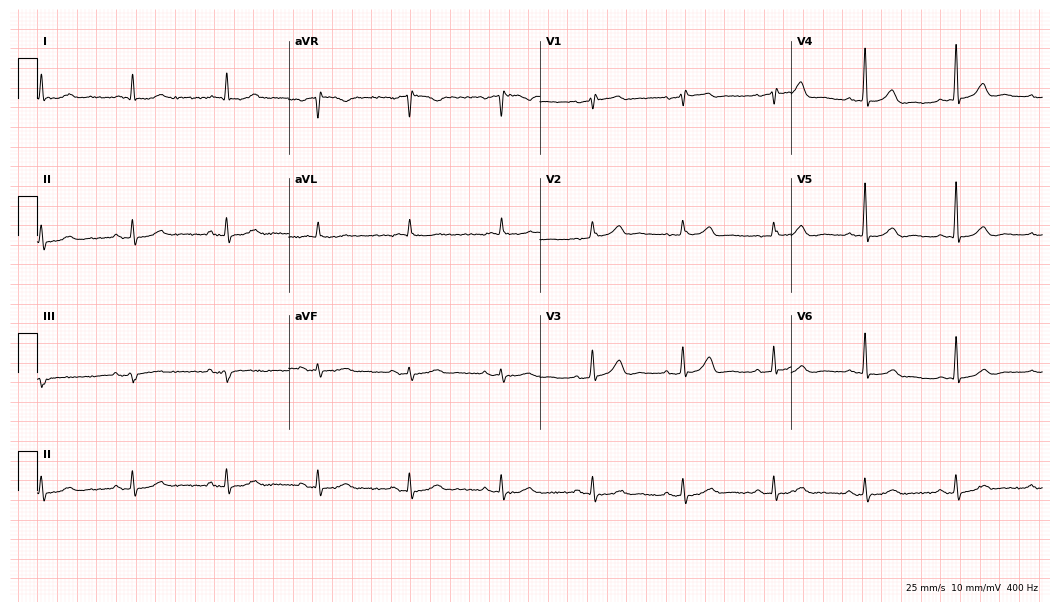
Standard 12-lead ECG recorded from a male patient, 82 years old. None of these six findings is recorded: first-degree AV block, right bundle branch block, left bundle branch block, sinus bradycardia, atrial fibrillation, sinus tachycardia. Other findings, if any, are not listed.